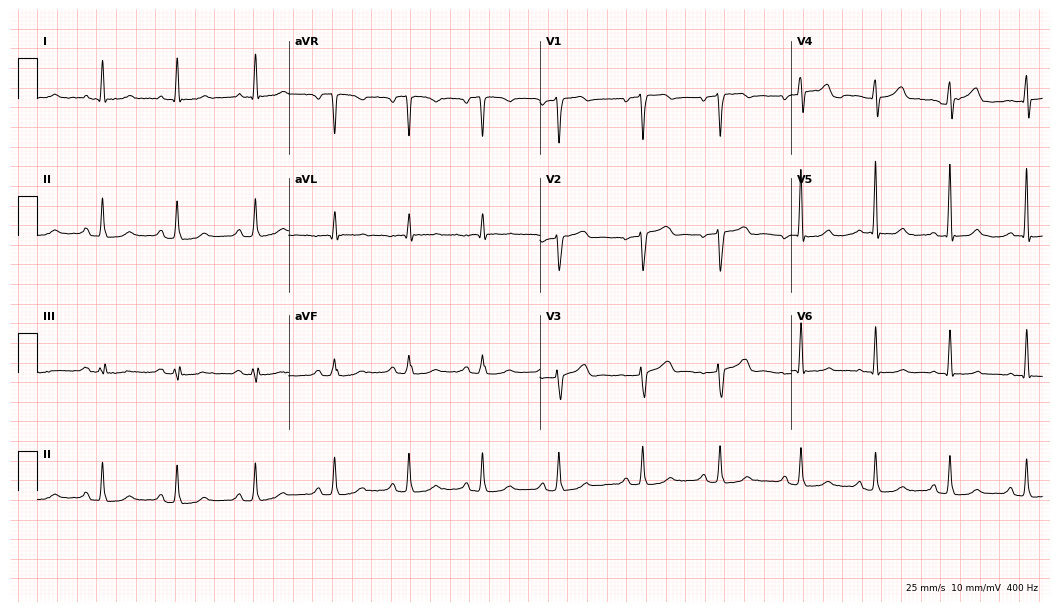
Standard 12-lead ECG recorded from a 57-year-old woman. None of these six findings is recorded: first-degree AV block, right bundle branch block, left bundle branch block, sinus bradycardia, atrial fibrillation, sinus tachycardia.